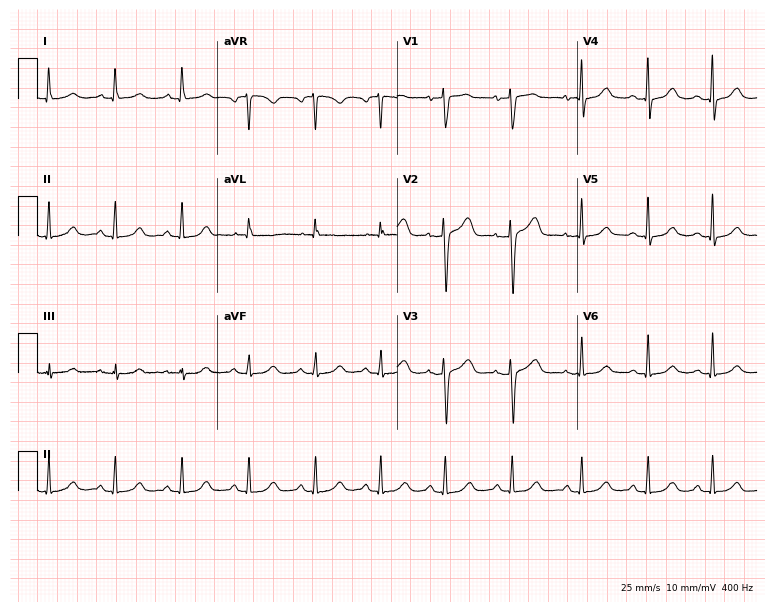
Standard 12-lead ECG recorded from a 41-year-old woman. Read as a normal ECG.